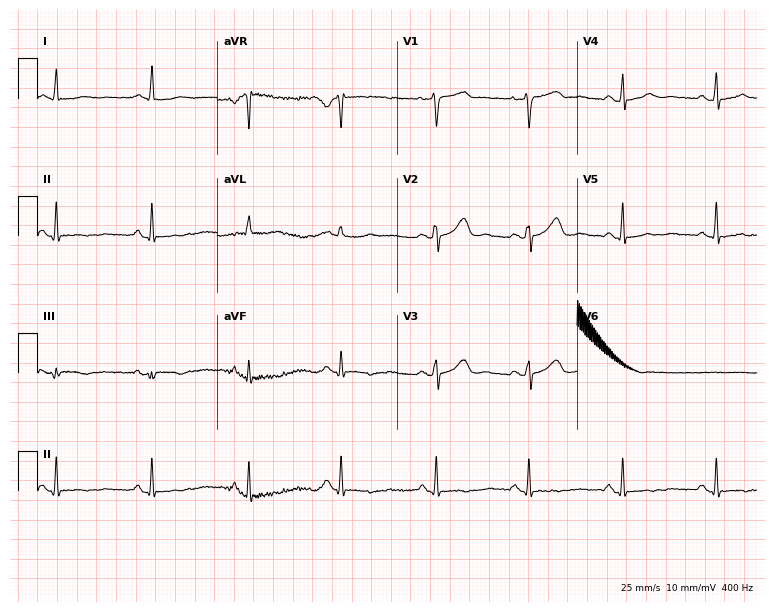
ECG (7.3-second recording at 400 Hz) — a female patient, 53 years old. Screened for six findings — first-degree AV block, right bundle branch block (RBBB), left bundle branch block (LBBB), sinus bradycardia, atrial fibrillation (AF), sinus tachycardia — none is recorded. Only these six findings were labelled.